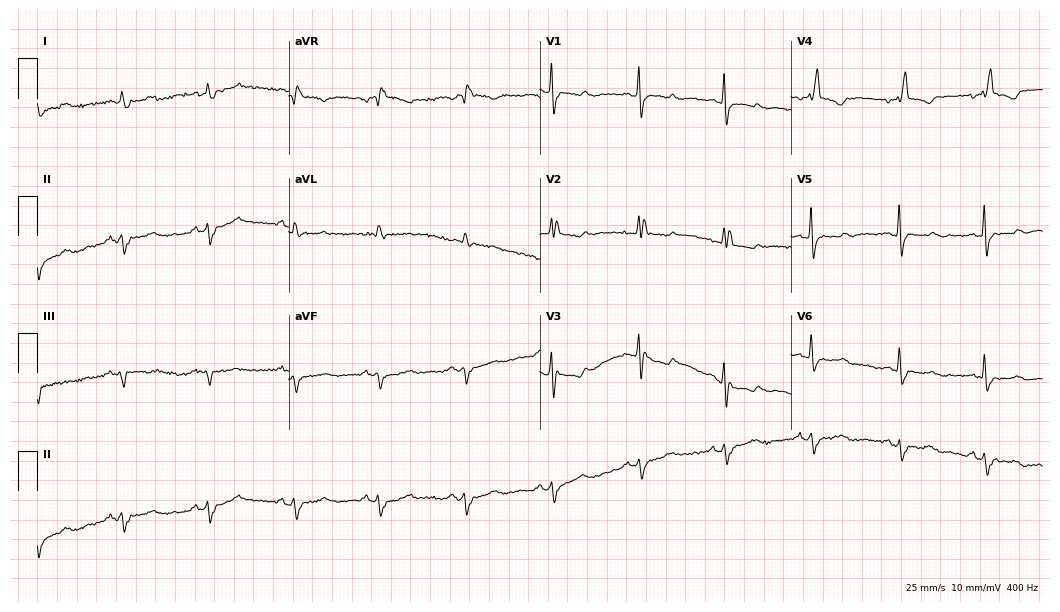
12-lead ECG from a female, 75 years old. Screened for six findings — first-degree AV block, right bundle branch block, left bundle branch block, sinus bradycardia, atrial fibrillation, sinus tachycardia — none is recorded.